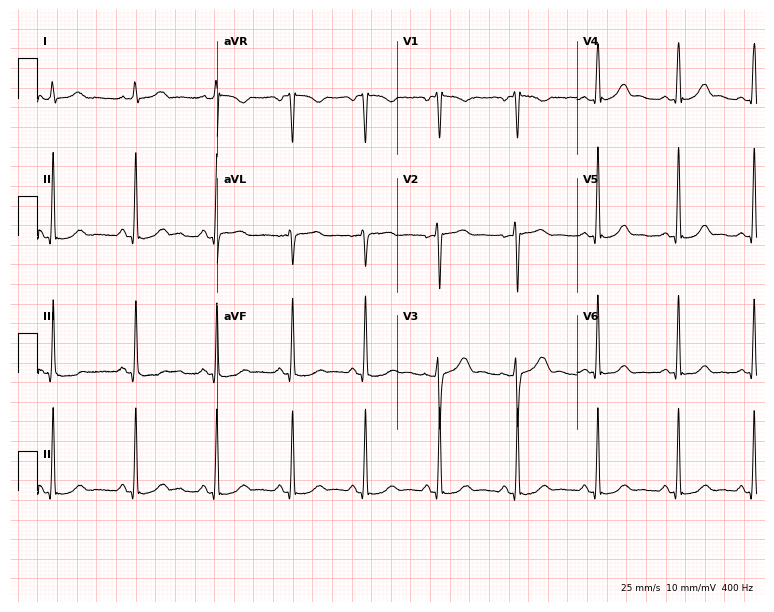
Electrocardiogram, a female patient, 22 years old. Of the six screened findings (first-degree AV block, right bundle branch block (RBBB), left bundle branch block (LBBB), sinus bradycardia, atrial fibrillation (AF), sinus tachycardia), none is recorded.